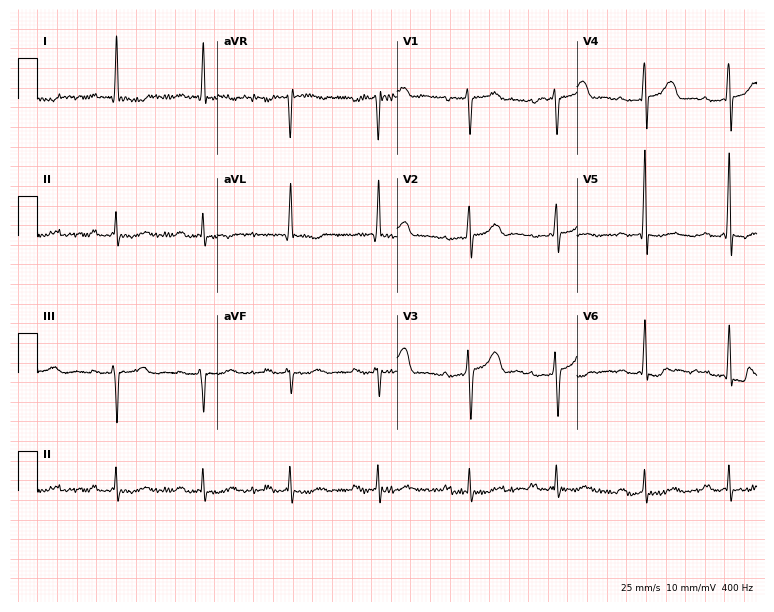
Electrocardiogram, a 52-year-old male patient. Interpretation includes first-degree AV block.